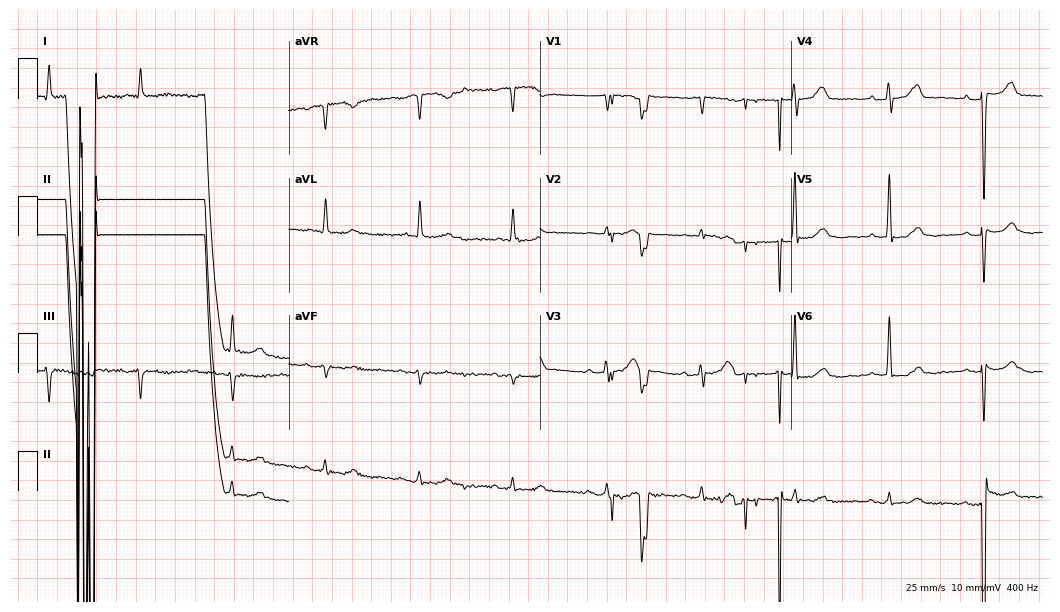
Electrocardiogram, a male, 71 years old. Of the six screened findings (first-degree AV block, right bundle branch block, left bundle branch block, sinus bradycardia, atrial fibrillation, sinus tachycardia), none is recorded.